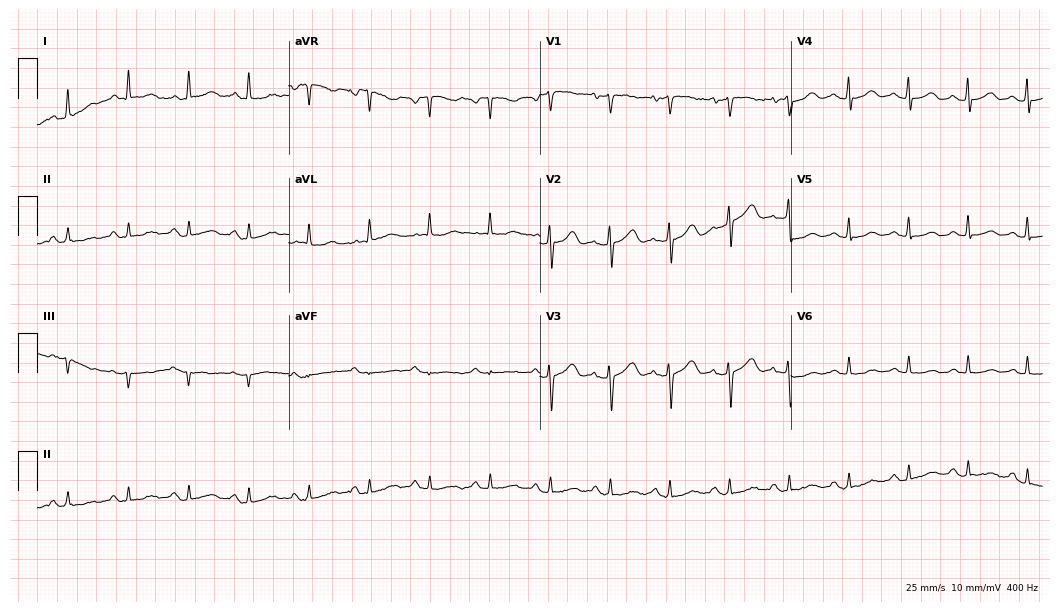
Standard 12-lead ECG recorded from a 73-year-old female. None of these six findings is recorded: first-degree AV block, right bundle branch block, left bundle branch block, sinus bradycardia, atrial fibrillation, sinus tachycardia. Findings outside these six are not listed.